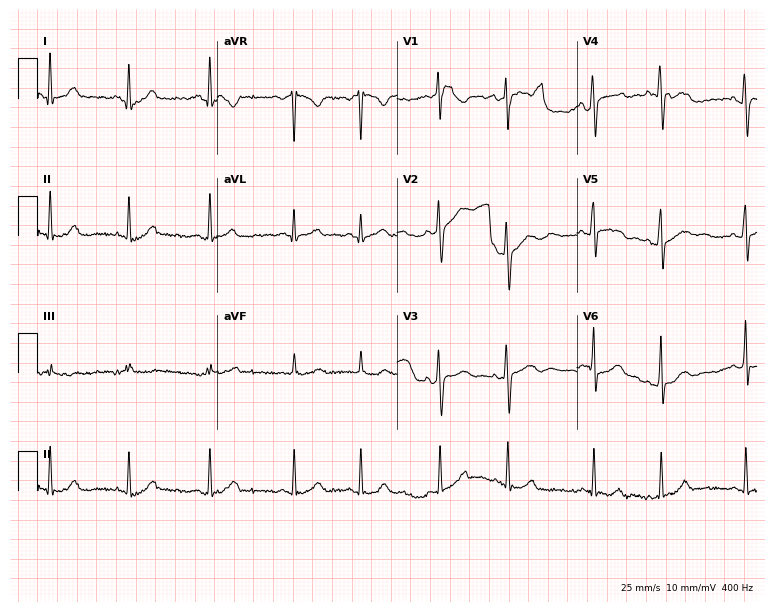
ECG (7.3-second recording at 400 Hz) — a woman, 24 years old. Screened for six findings — first-degree AV block, right bundle branch block, left bundle branch block, sinus bradycardia, atrial fibrillation, sinus tachycardia — none is recorded. Only these six findings were labelled.